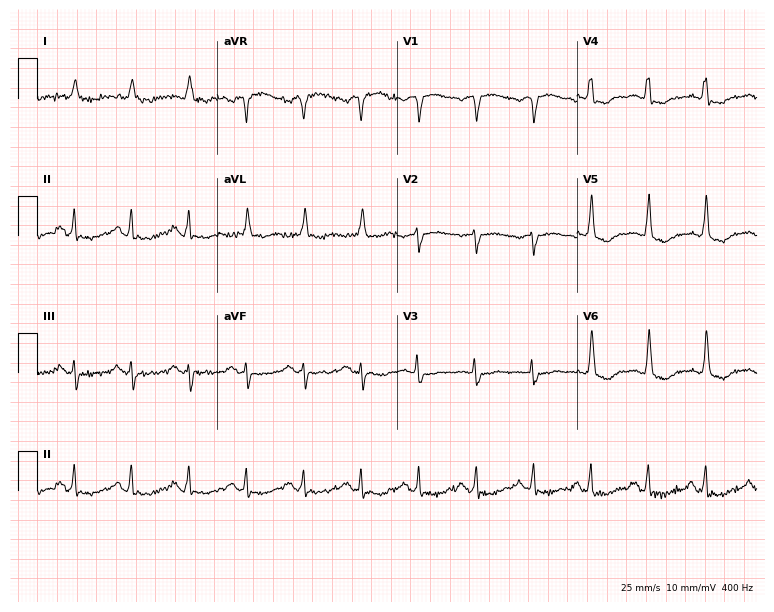
Resting 12-lead electrocardiogram. Patient: a 67-year-old female. The tracing shows sinus tachycardia (a sinus rate of 100 beats per minute or more).